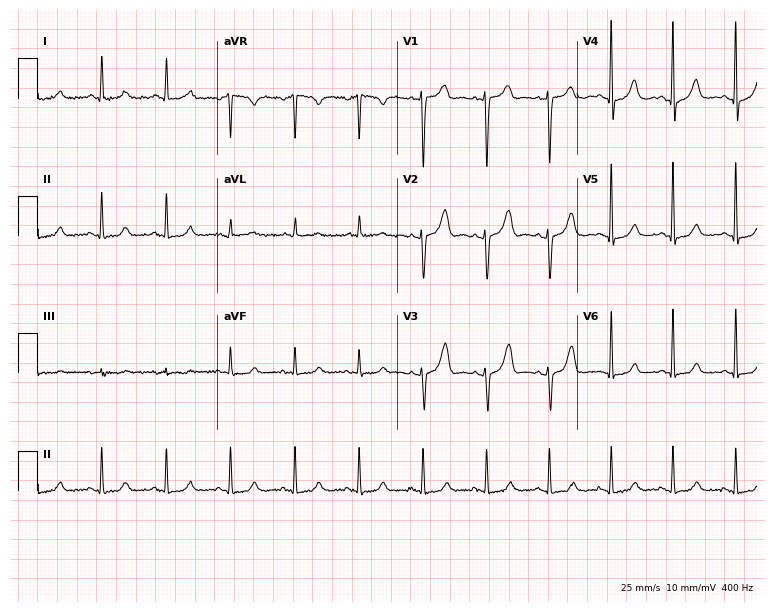
Electrocardiogram (7.3-second recording at 400 Hz), a 58-year-old female patient. Of the six screened findings (first-degree AV block, right bundle branch block, left bundle branch block, sinus bradycardia, atrial fibrillation, sinus tachycardia), none is recorded.